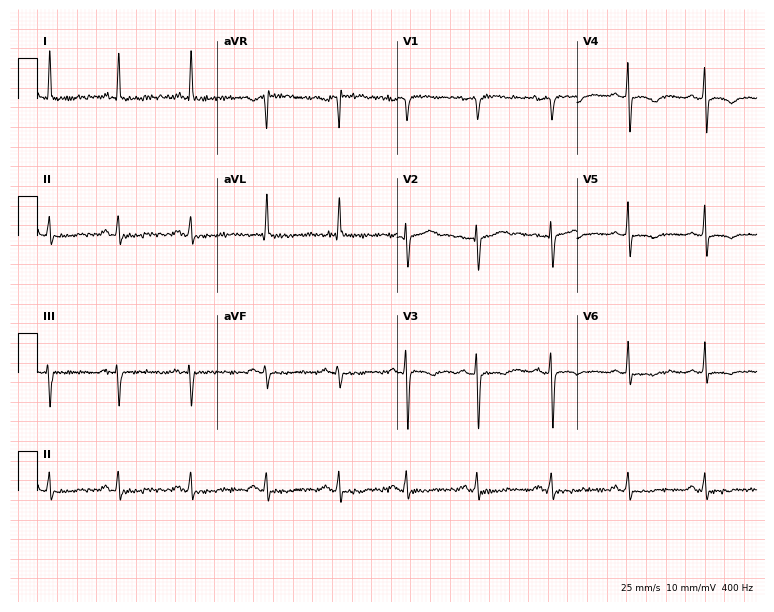
Standard 12-lead ECG recorded from a 31-year-old female patient (7.3-second recording at 400 Hz). None of these six findings is recorded: first-degree AV block, right bundle branch block, left bundle branch block, sinus bradycardia, atrial fibrillation, sinus tachycardia. Only these six findings were labelled.